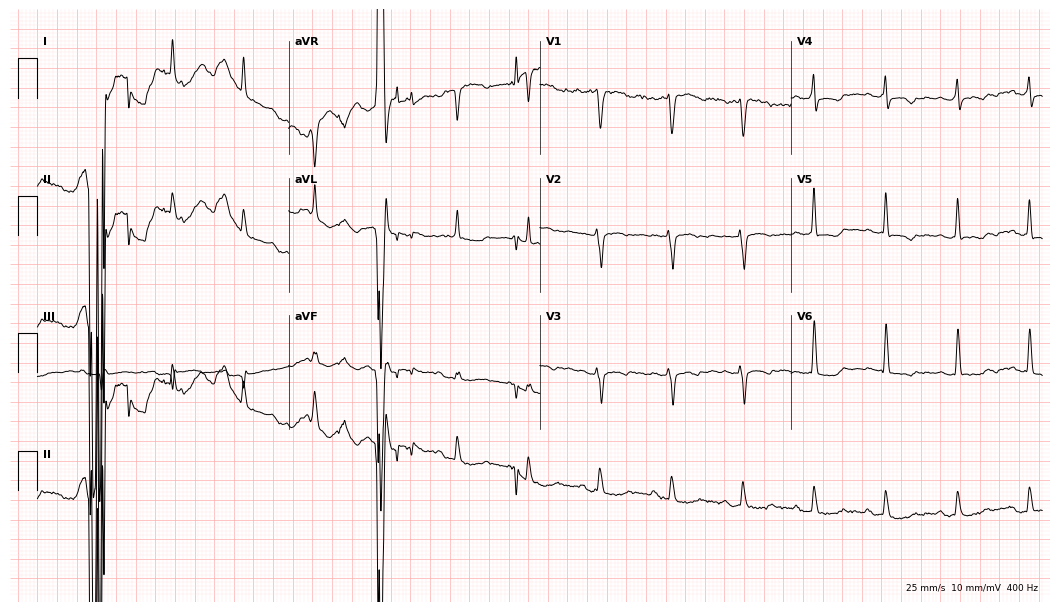
Standard 12-lead ECG recorded from a male, 69 years old. None of these six findings is recorded: first-degree AV block, right bundle branch block (RBBB), left bundle branch block (LBBB), sinus bradycardia, atrial fibrillation (AF), sinus tachycardia.